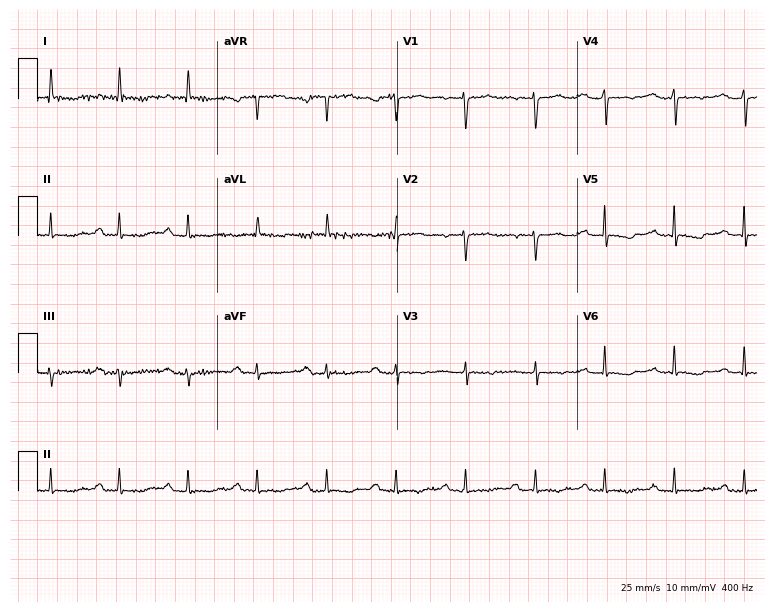
Standard 12-lead ECG recorded from a 79-year-old female. The tracing shows first-degree AV block.